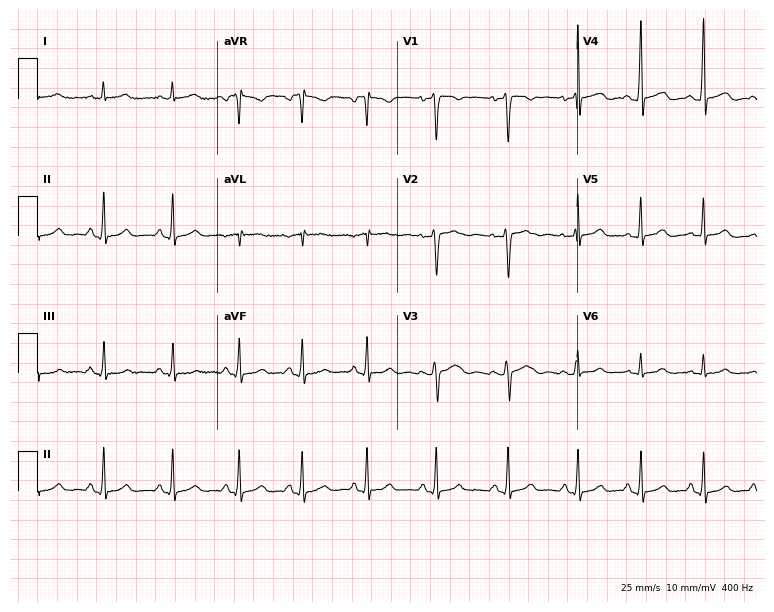
ECG — a female, 40 years old. Screened for six findings — first-degree AV block, right bundle branch block, left bundle branch block, sinus bradycardia, atrial fibrillation, sinus tachycardia — none is recorded. Other findings, if any, are not listed.